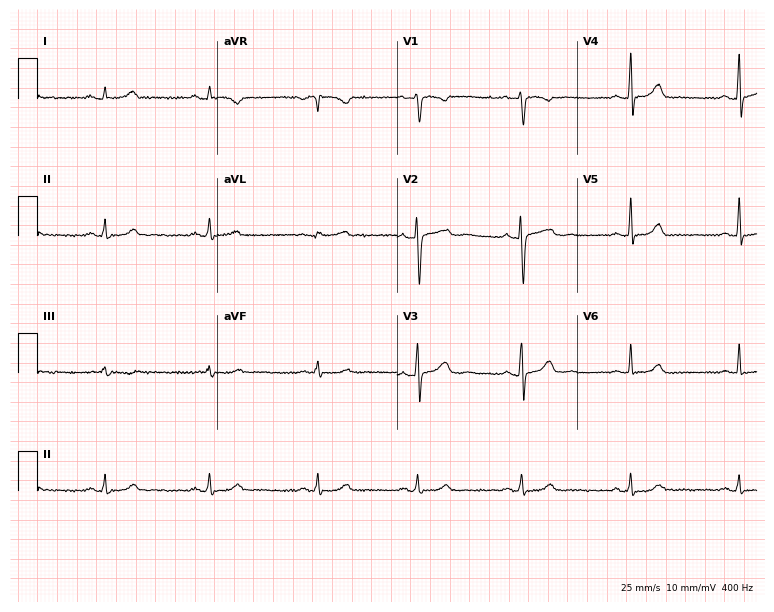
Electrocardiogram (7.3-second recording at 400 Hz), a 22-year-old woman. Of the six screened findings (first-degree AV block, right bundle branch block, left bundle branch block, sinus bradycardia, atrial fibrillation, sinus tachycardia), none is recorded. Only these six findings were labelled.